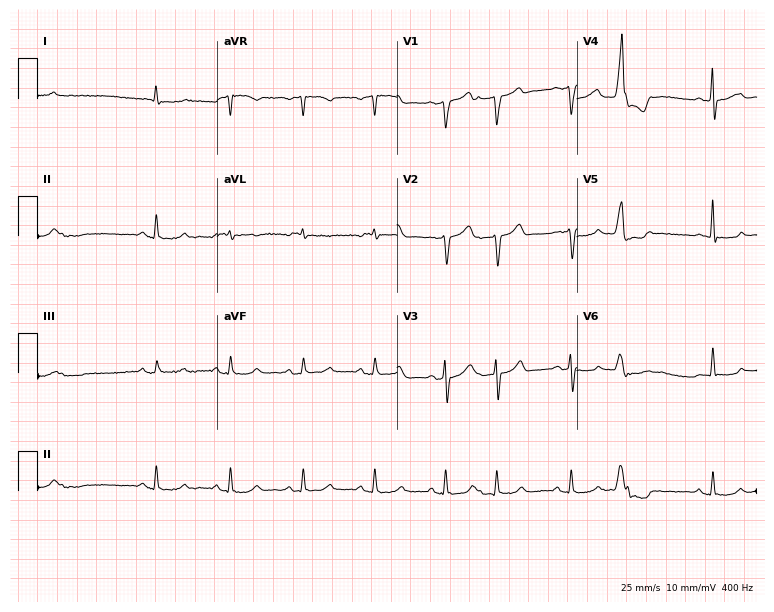
Electrocardiogram, a man, 66 years old. Of the six screened findings (first-degree AV block, right bundle branch block, left bundle branch block, sinus bradycardia, atrial fibrillation, sinus tachycardia), none is recorded.